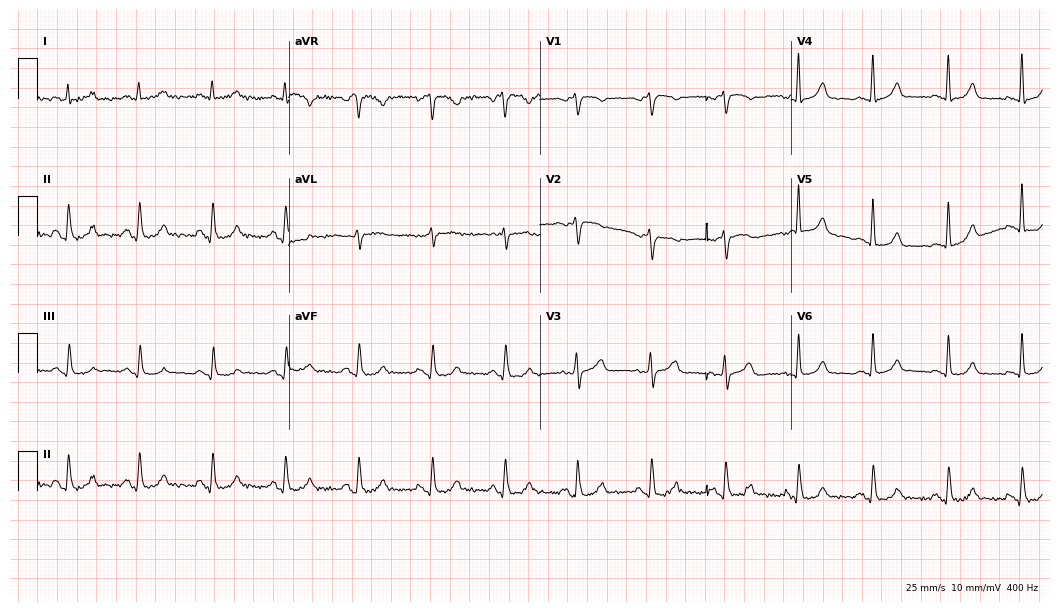
Standard 12-lead ECG recorded from an 85-year-old female. Read as a normal ECG.